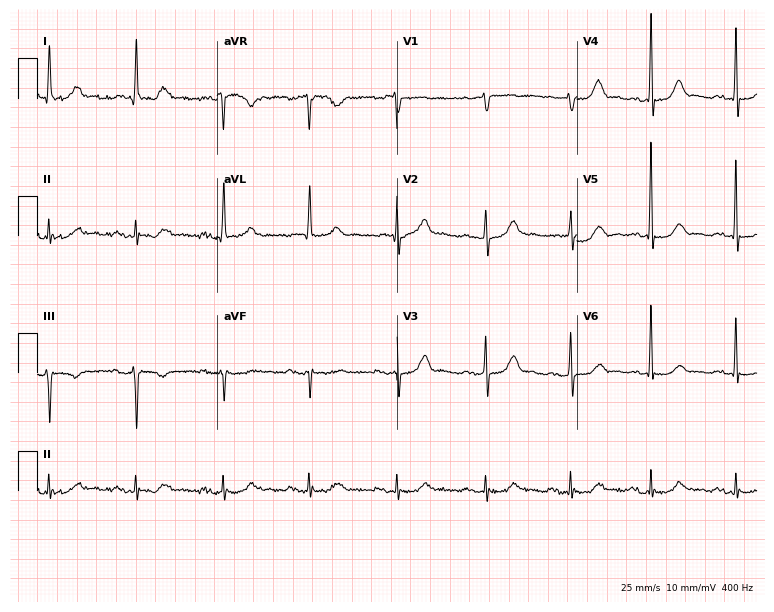
12-lead ECG from a woman, 82 years old (7.3-second recording at 400 Hz). No first-degree AV block, right bundle branch block (RBBB), left bundle branch block (LBBB), sinus bradycardia, atrial fibrillation (AF) or sinus tachycardia recorded for this tracing. Findings outside these six are not listed.